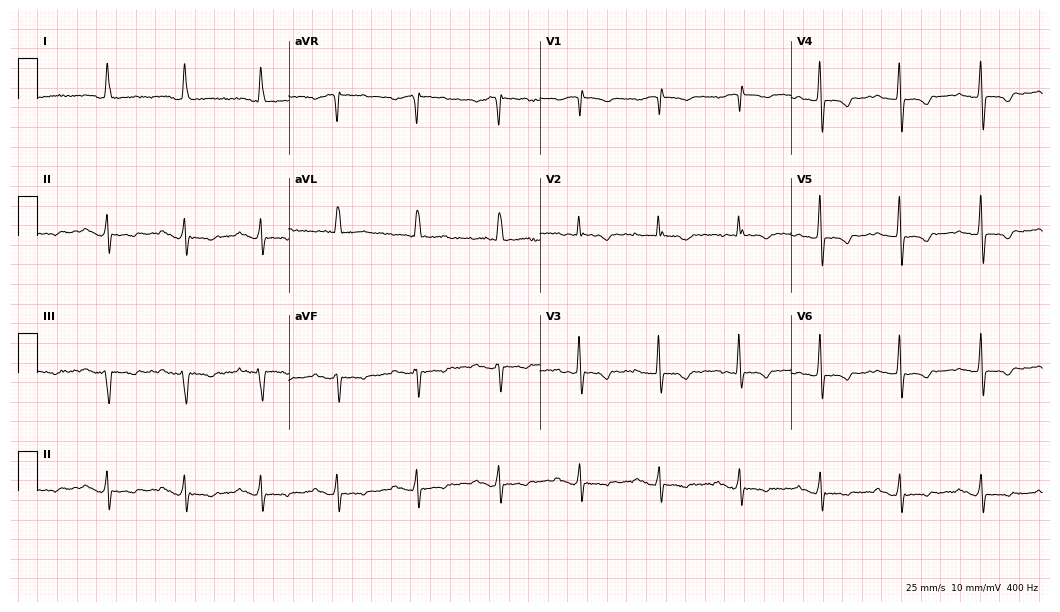
Standard 12-lead ECG recorded from a female, 75 years old (10.2-second recording at 400 Hz). None of these six findings is recorded: first-degree AV block, right bundle branch block, left bundle branch block, sinus bradycardia, atrial fibrillation, sinus tachycardia. Findings outside these six are not listed.